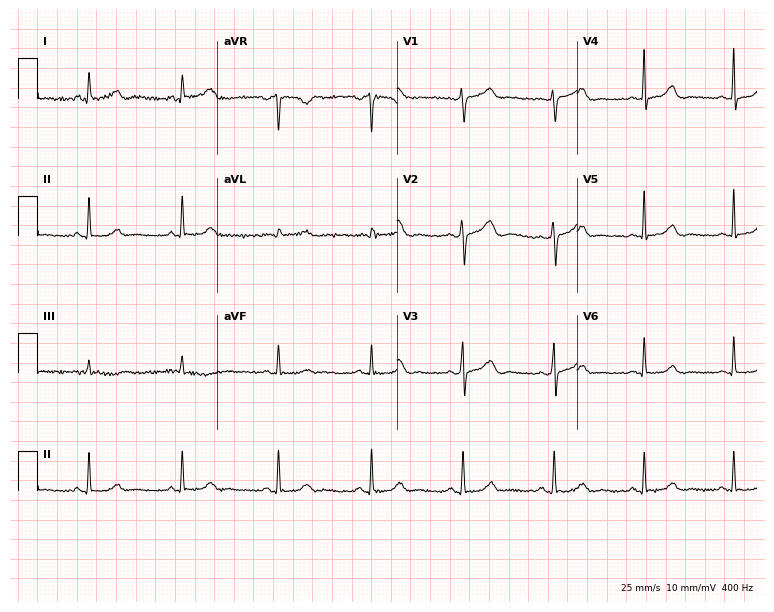
Resting 12-lead electrocardiogram (7.3-second recording at 400 Hz). Patient: a 39-year-old female. Read as a normal ECG.